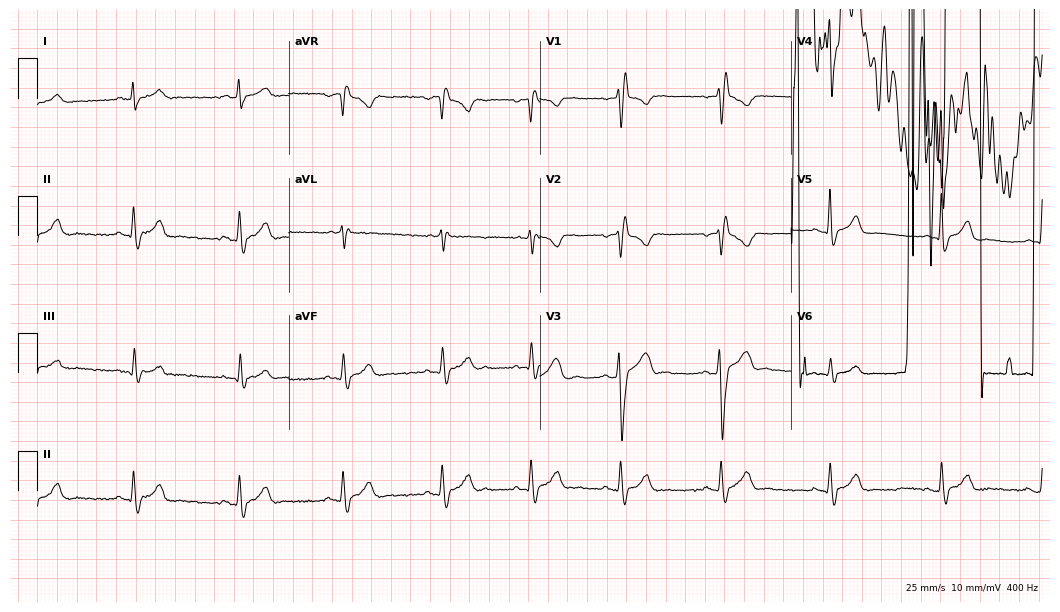
Electrocardiogram (10.2-second recording at 400 Hz), a male, 24 years old. Of the six screened findings (first-degree AV block, right bundle branch block (RBBB), left bundle branch block (LBBB), sinus bradycardia, atrial fibrillation (AF), sinus tachycardia), none is recorded.